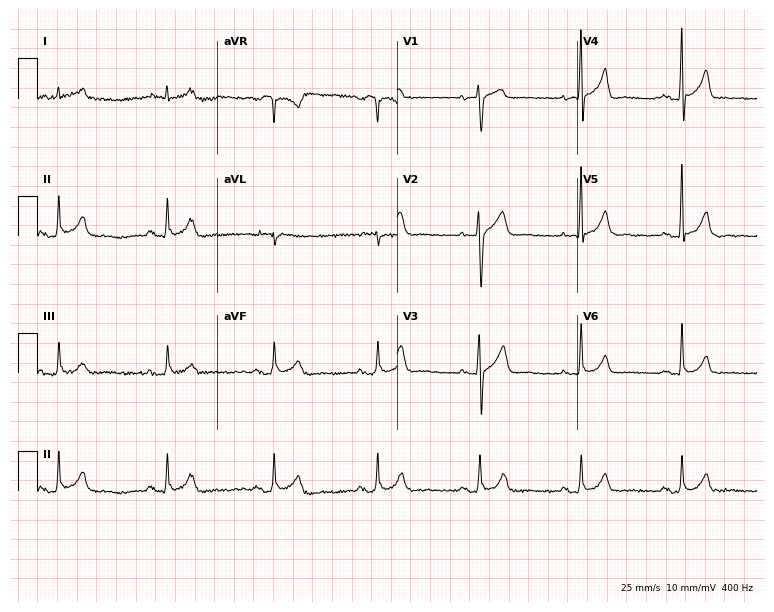
Electrocardiogram, a male patient, 53 years old. Overall reading on record: normal ECG.